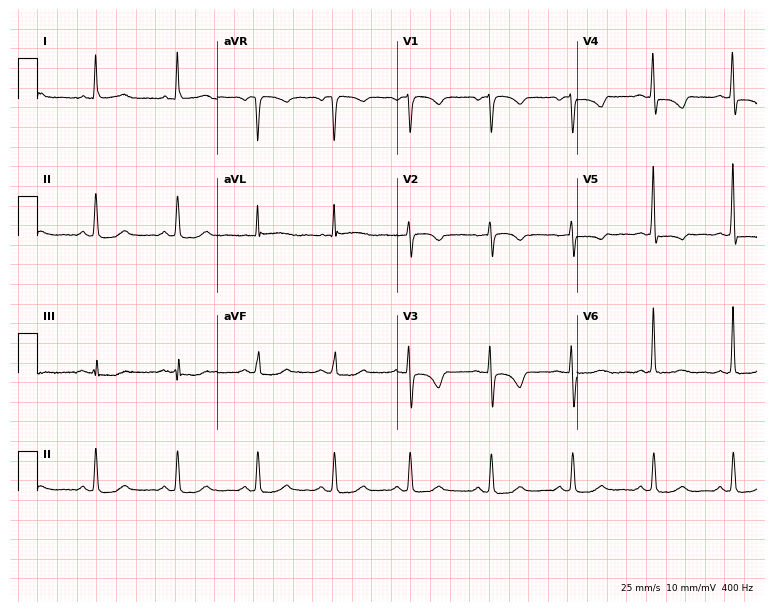
Resting 12-lead electrocardiogram (7.3-second recording at 400 Hz). Patient: a 61-year-old female. None of these six findings is recorded: first-degree AV block, right bundle branch block, left bundle branch block, sinus bradycardia, atrial fibrillation, sinus tachycardia.